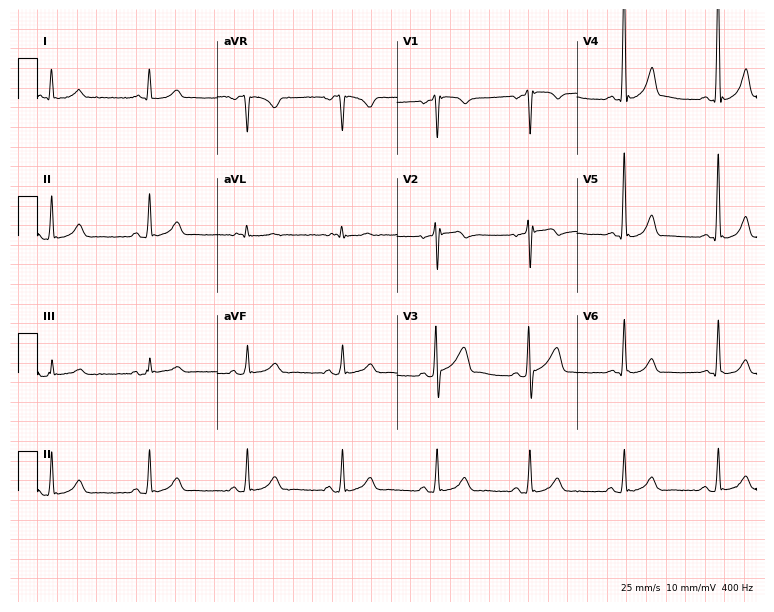
Electrocardiogram, a 47-year-old male. Of the six screened findings (first-degree AV block, right bundle branch block, left bundle branch block, sinus bradycardia, atrial fibrillation, sinus tachycardia), none is recorded. Only these six findings were labelled.